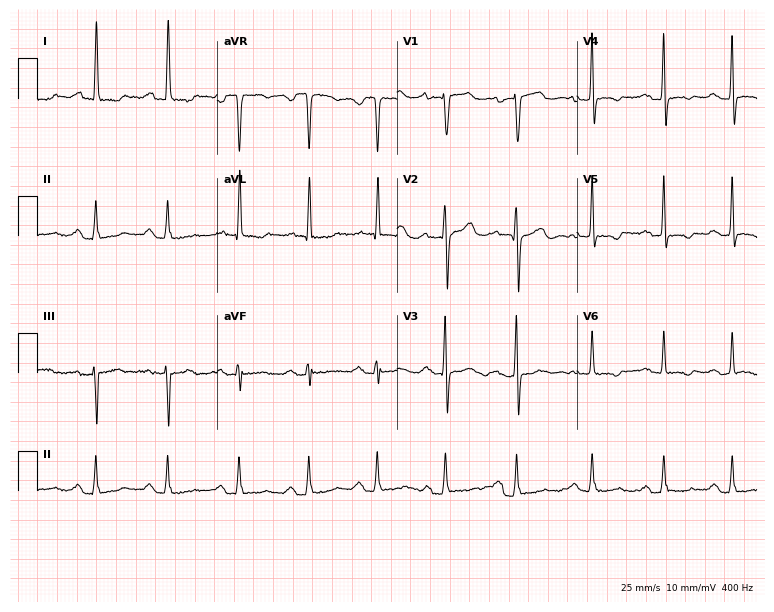
12-lead ECG (7.3-second recording at 400 Hz) from a female, 38 years old. Screened for six findings — first-degree AV block, right bundle branch block, left bundle branch block, sinus bradycardia, atrial fibrillation, sinus tachycardia — none is recorded.